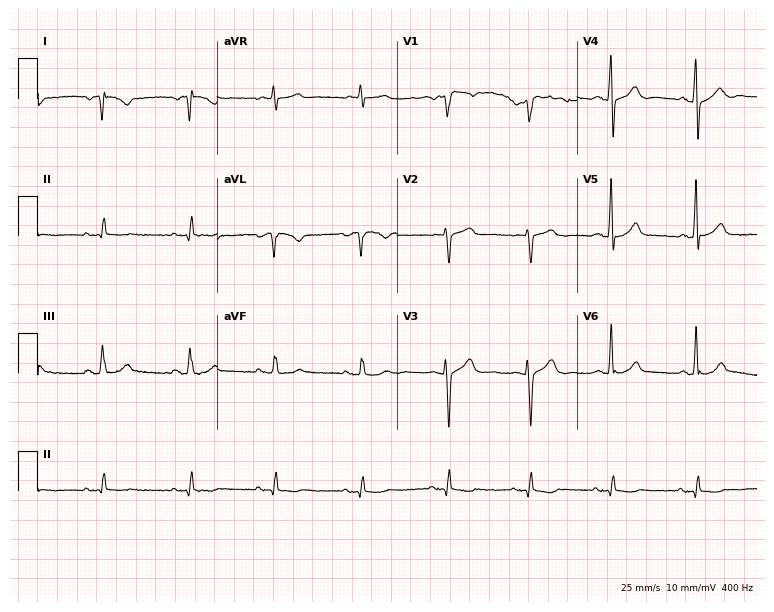
Standard 12-lead ECG recorded from a man, 58 years old (7.3-second recording at 400 Hz). Read as a normal ECG.